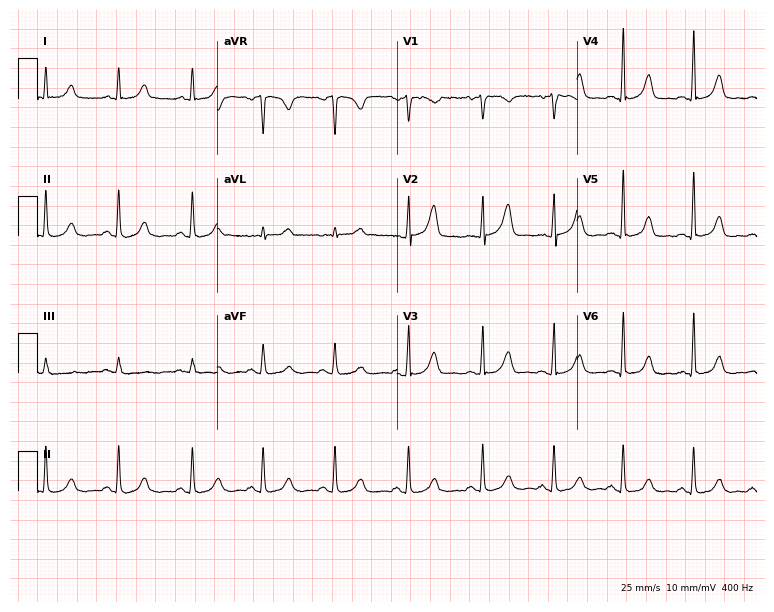
Resting 12-lead electrocardiogram. Patient: a female, 25 years old. Read as a normal ECG.